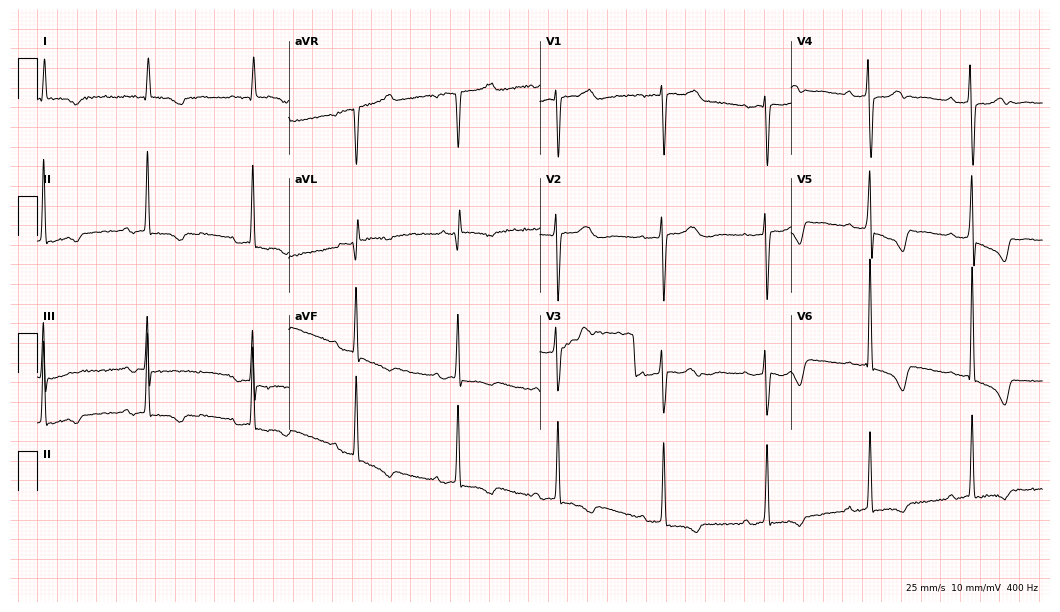
12-lead ECG (10.2-second recording at 400 Hz) from a 77-year-old woman. Findings include first-degree AV block.